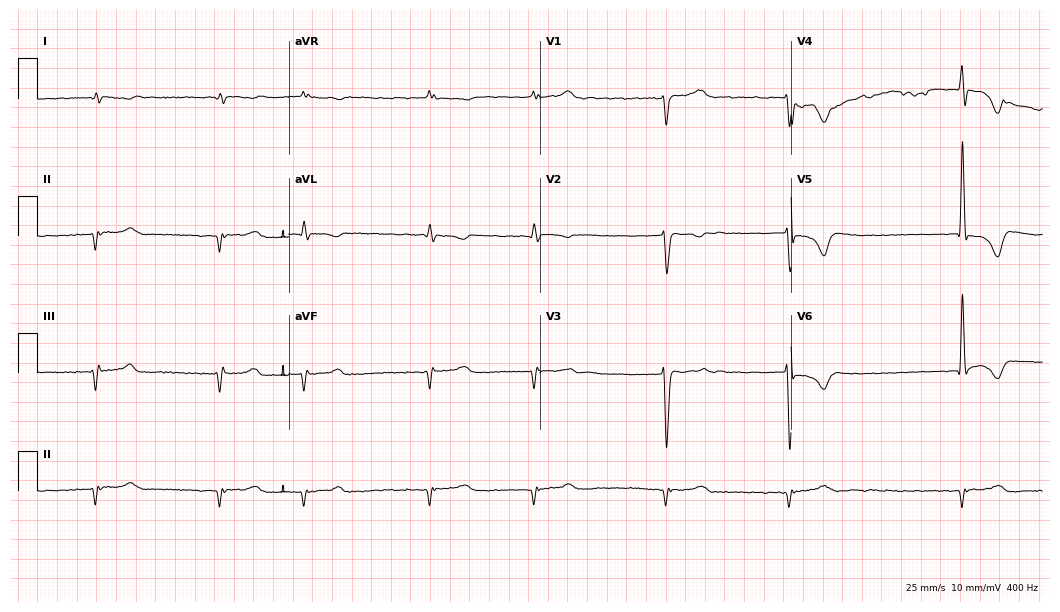
12-lead ECG from a male, 74 years old. Screened for six findings — first-degree AV block, right bundle branch block, left bundle branch block, sinus bradycardia, atrial fibrillation, sinus tachycardia — none is recorded.